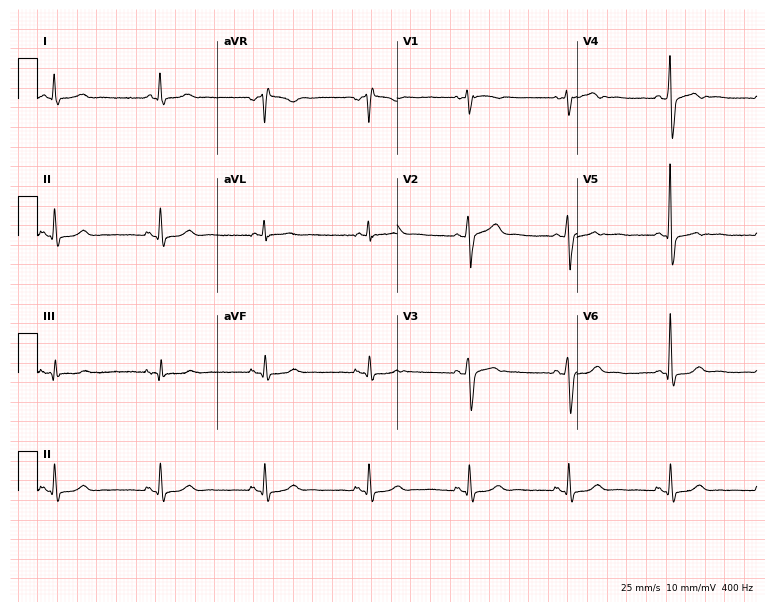
ECG — a female patient, 49 years old. Screened for six findings — first-degree AV block, right bundle branch block, left bundle branch block, sinus bradycardia, atrial fibrillation, sinus tachycardia — none is recorded.